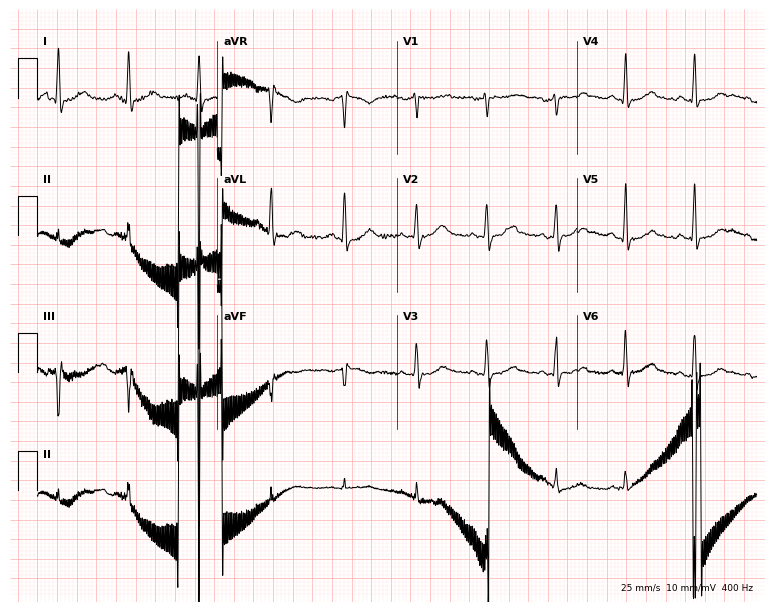
12-lead ECG from a female, 44 years old. Labelled as a normal ECG.